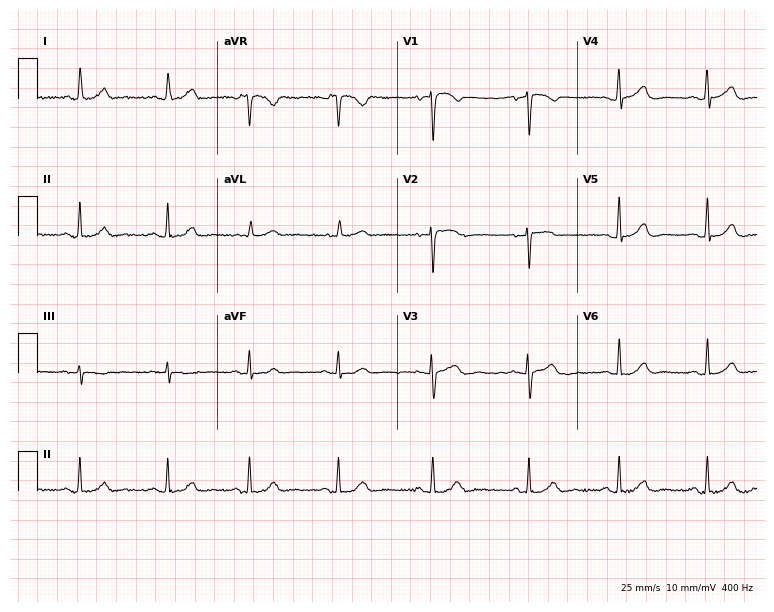
Standard 12-lead ECG recorded from a 37-year-old female patient. Read as a normal ECG.